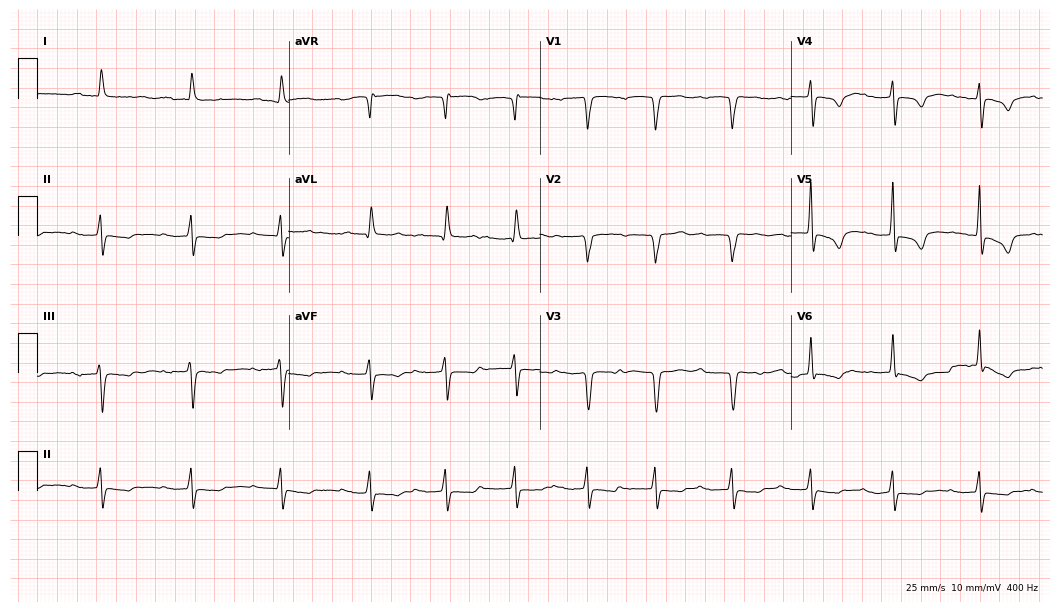
Electrocardiogram (10.2-second recording at 400 Hz), an 84-year-old female patient. Interpretation includes first-degree AV block.